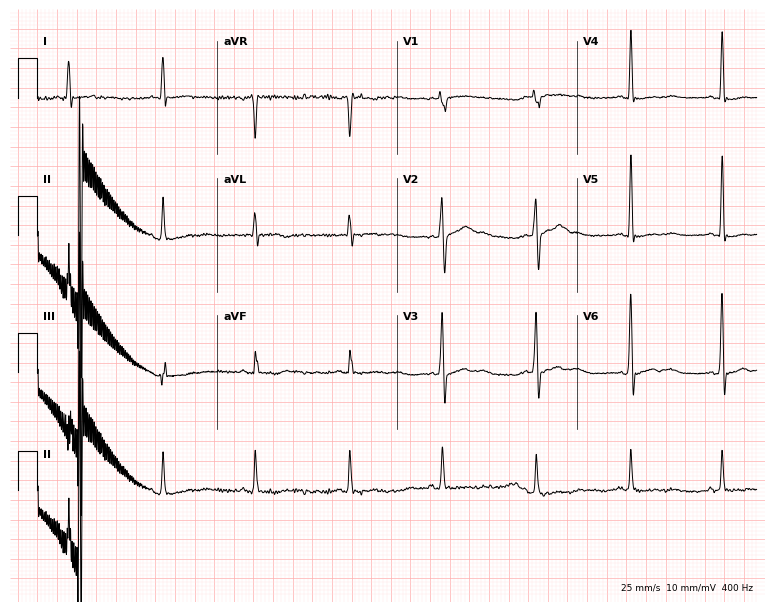
Standard 12-lead ECG recorded from a 36-year-old male patient (7.3-second recording at 400 Hz). None of these six findings is recorded: first-degree AV block, right bundle branch block (RBBB), left bundle branch block (LBBB), sinus bradycardia, atrial fibrillation (AF), sinus tachycardia.